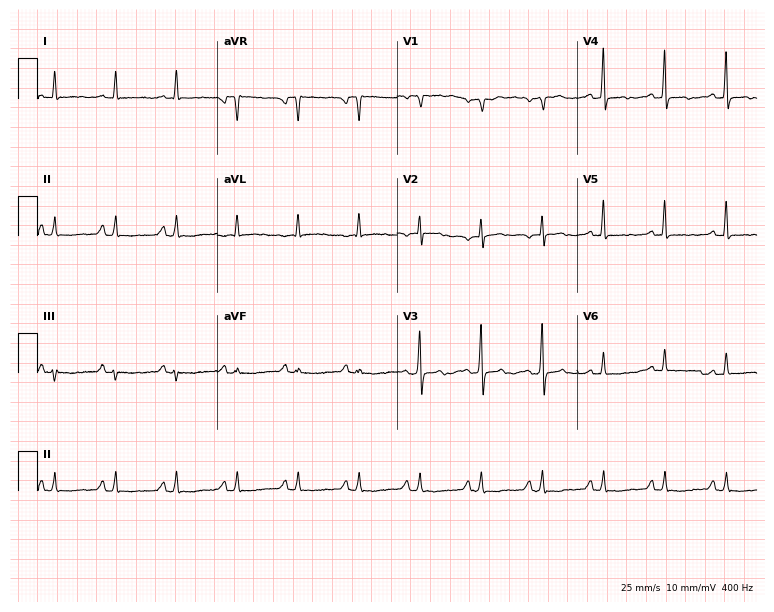
Standard 12-lead ECG recorded from a female patient, 60 years old (7.3-second recording at 400 Hz). None of these six findings is recorded: first-degree AV block, right bundle branch block (RBBB), left bundle branch block (LBBB), sinus bradycardia, atrial fibrillation (AF), sinus tachycardia. Only these six findings were labelled.